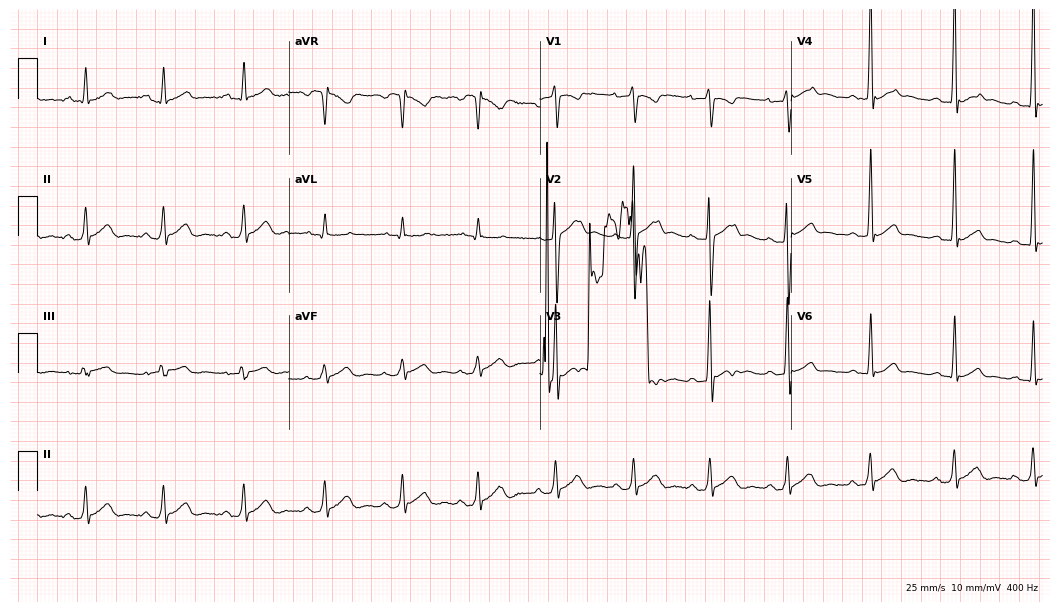
Resting 12-lead electrocardiogram. Patient: a male, 17 years old. None of these six findings is recorded: first-degree AV block, right bundle branch block, left bundle branch block, sinus bradycardia, atrial fibrillation, sinus tachycardia. Findings outside these six are not listed.